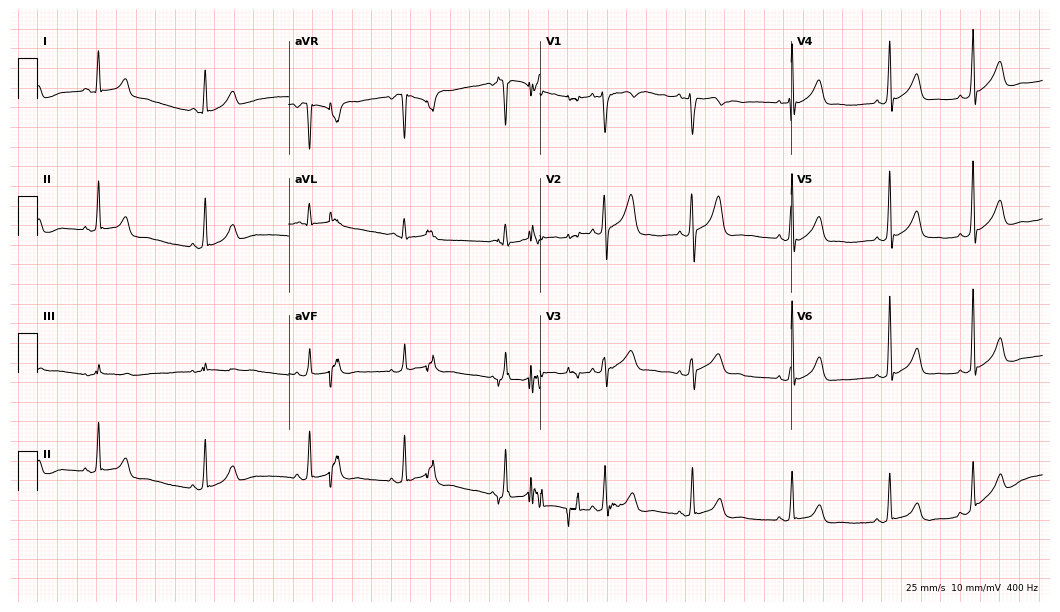
12-lead ECG from a 17-year-old woman. No first-degree AV block, right bundle branch block, left bundle branch block, sinus bradycardia, atrial fibrillation or sinus tachycardia recorded for this tracing.